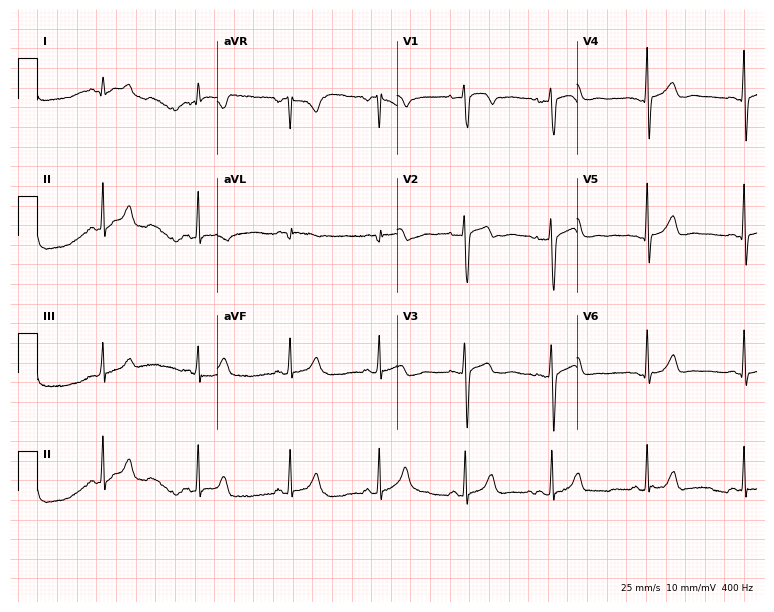
Standard 12-lead ECG recorded from a female, 40 years old (7.3-second recording at 400 Hz). None of these six findings is recorded: first-degree AV block, right bundle branch block, left bundle branch block, sinus bradycardia, atrial fibrillation, sinus tachycardia. Other findings, if any, are not listed.